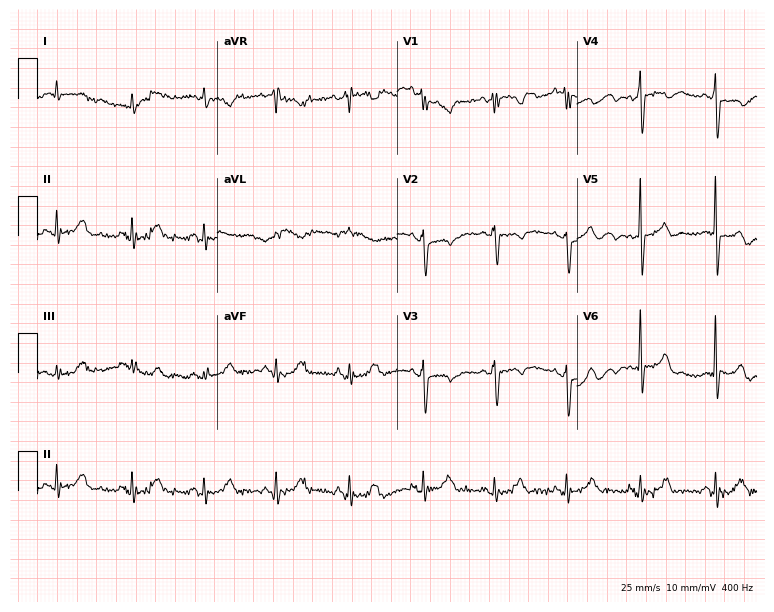
ECG (7.3-second recording at 400 Hz) — a male patient, 79 years old. Screened for six findings — first-degree AV block, right bundle branch block (RBBB), left bundle branch block (LBBB), sinus bradycardia, atrial fibrillation (AF), sinus tachycardia — none is recorded.